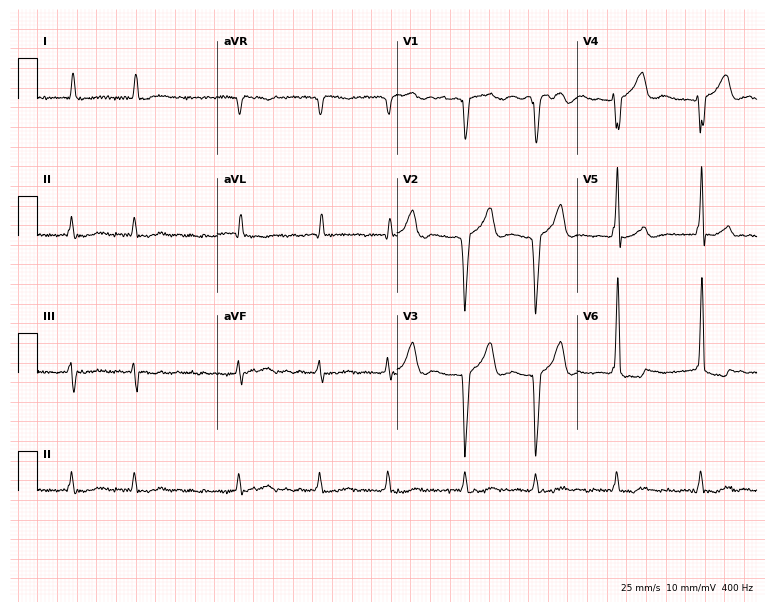
Resting 12-lead electrocardiogram. Patient: a female, 80 years old. The tracing shows atrial fibrillation.